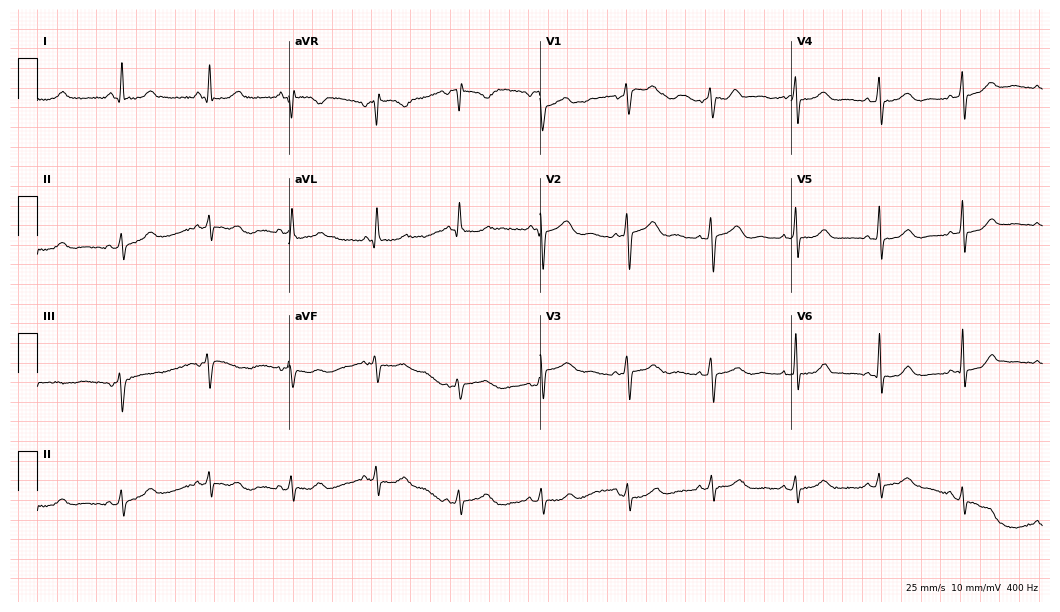
12-lead ECG from a female, 57 years old (10.2-second recording at 400 Hz). Recorded interpretation: within normal limits.